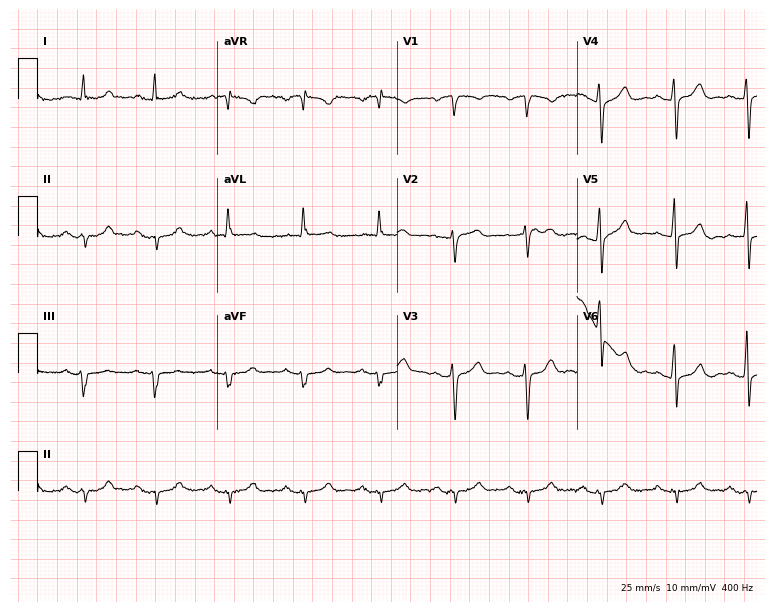
ECG — a man, 63 years old. Screened for six findings — first-degree AV block, right bundle branch block, left bundle branch block, sinus bradycardia, atrial fibrillation, sinus tachycardia — none is recorded. Only these six findings were labelled.